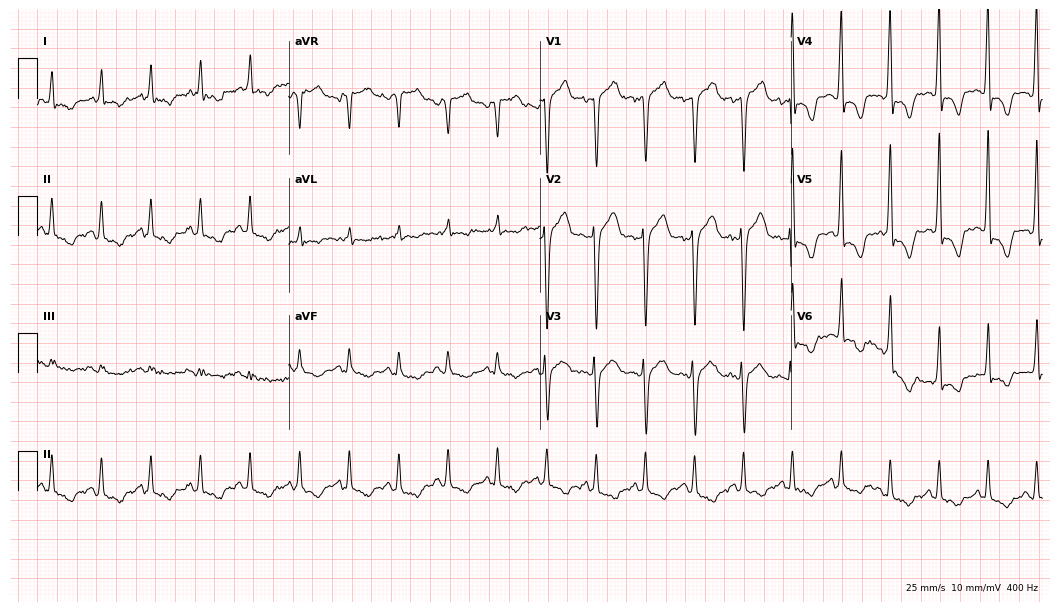
ECG (10.2-second recording at 400 Hz) — a 63-year-old male patient. Findings include sinus tachycardia (a sinus rate of 100 beats per minute or more).